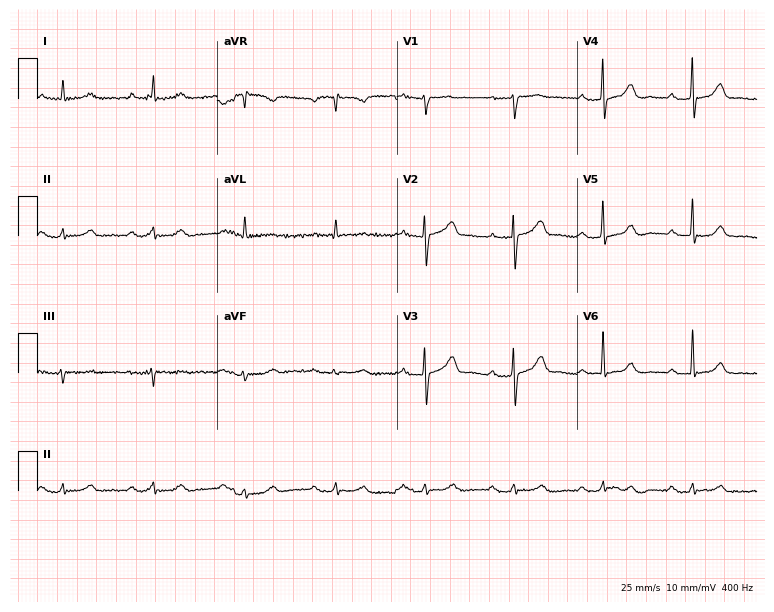
12-lead ECG (7.3-second recording at 400 Hz) from a man, 76 years old. Findings include first-degree AV block.